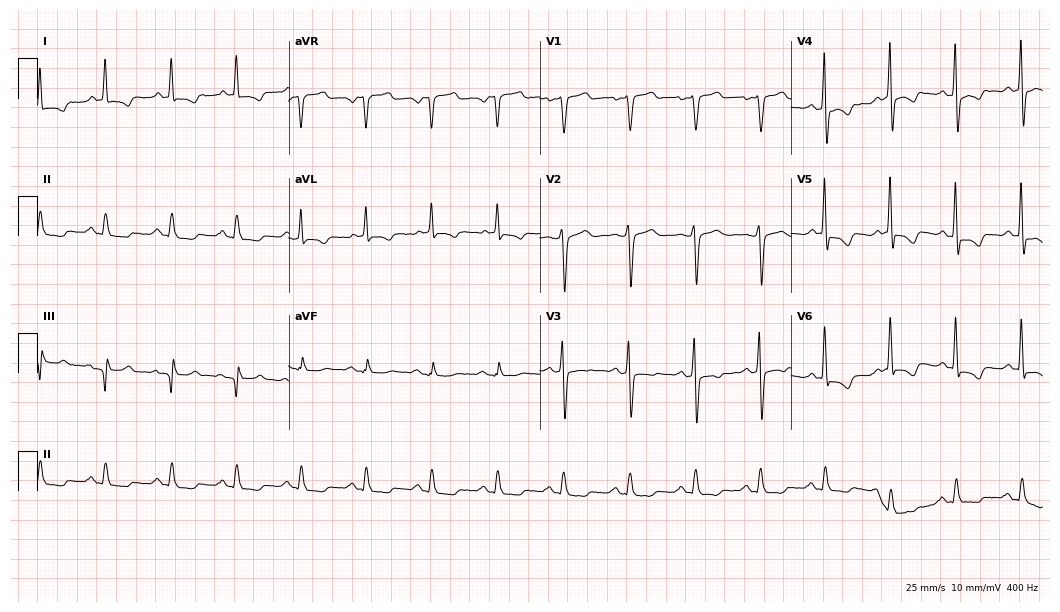
Standard 12-lead ECG recorded from a 67-year-old male. None of these six findings is recorded: first-degree AV block, right bundle branch block, left bundle branch block, sinus bradycardia, atrial fibrillation, sinus tachycardia.